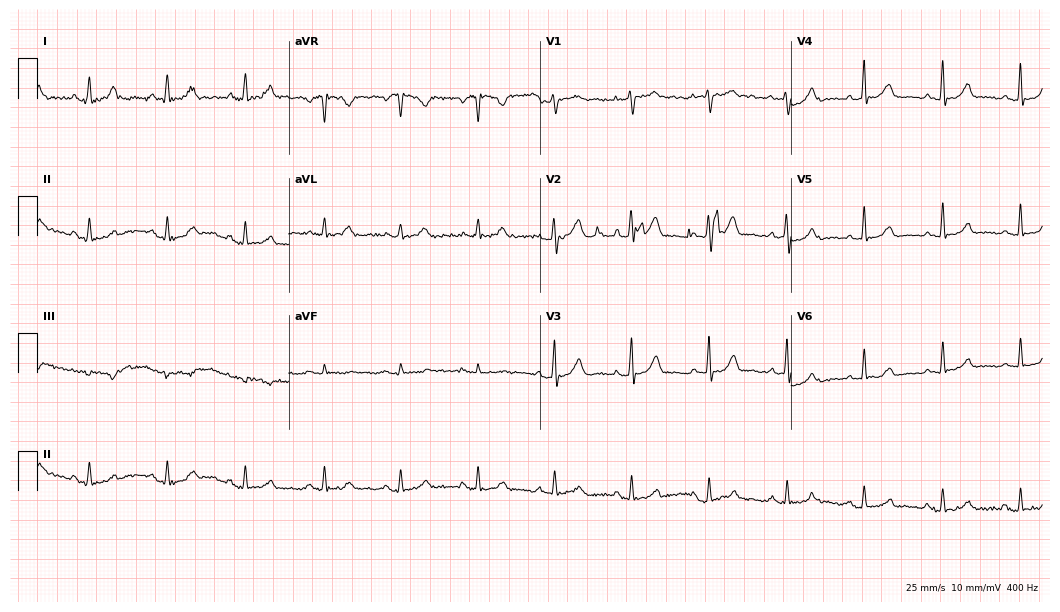
ECG — a woman, 49 years old. Screened for six findings — first-degree AV block, right bundle branch block, left bundle branch block, sinus bradycardia, atrial fibrillation, sinus tachycardia — none is recorded. Other findings, if any, are not listed.